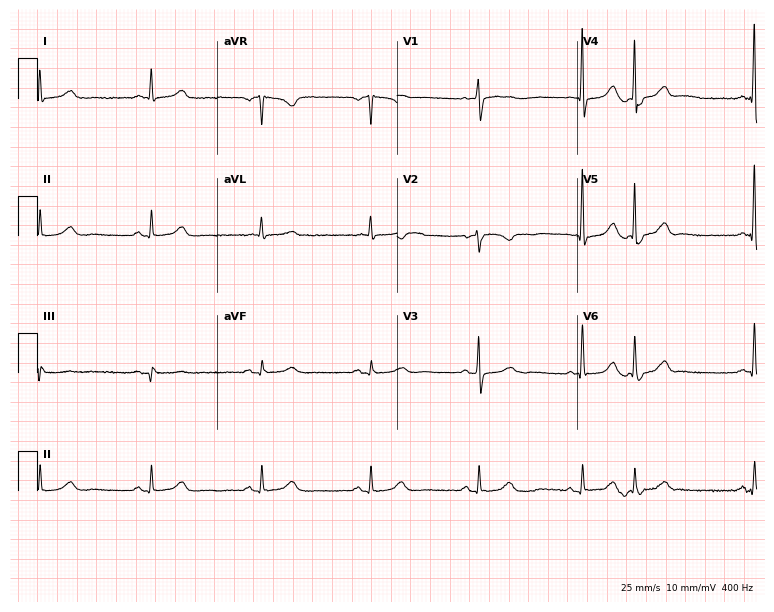
12-lead ECG from a woman, 73 years old. Screened for six findings — first-degree AV block, right bundle branch block (RBBB), left bundle branch block (LBBB), sinus bradycardia, atrial fibrillation (AF), sinus tachycardia — none is recorded.